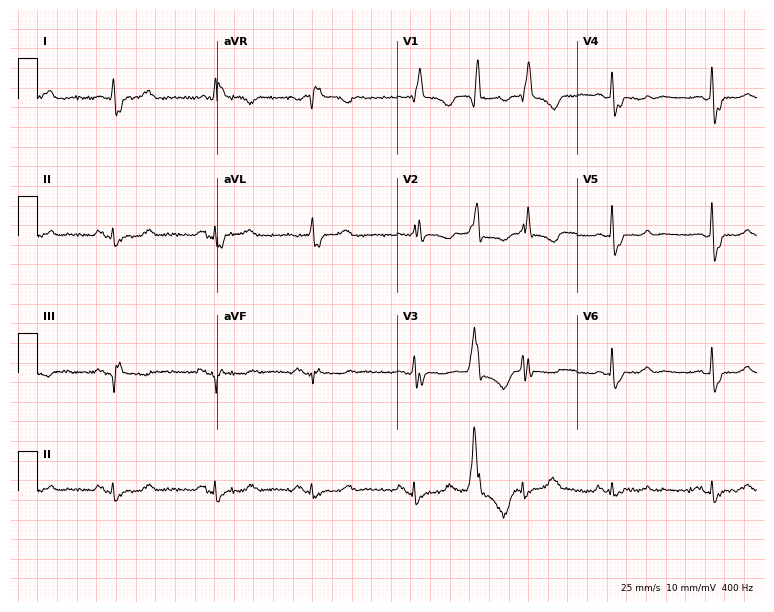
12-lead ECG from a woman, 80 years old. Findings include right bundle branch block.